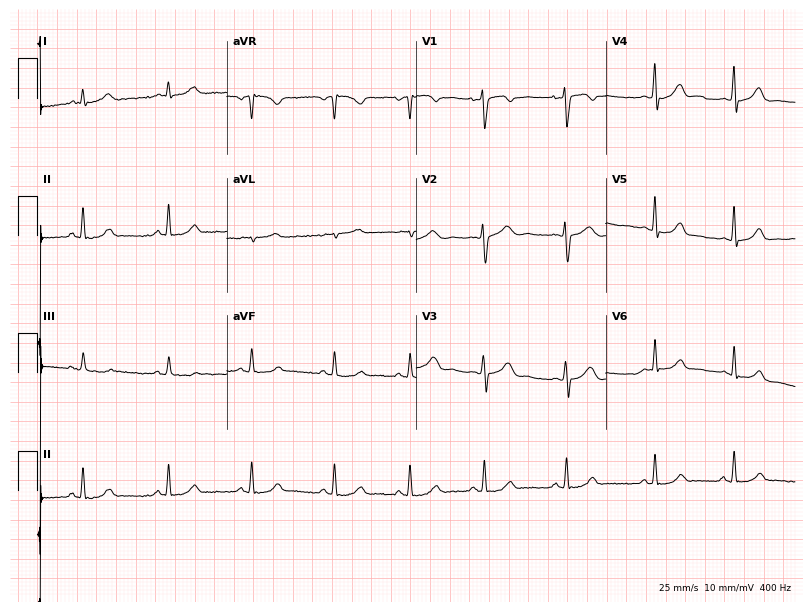
12-lead ECG from a 45-year-old female patient (7.7-second recording at 400 Hz). No first-degree AV block, right bundle branch block, left bundle branch block, sinus bradycardia, atrial fibrillation or sinus tachycardia recorded for this tracing. Findings outside these six are not listed.